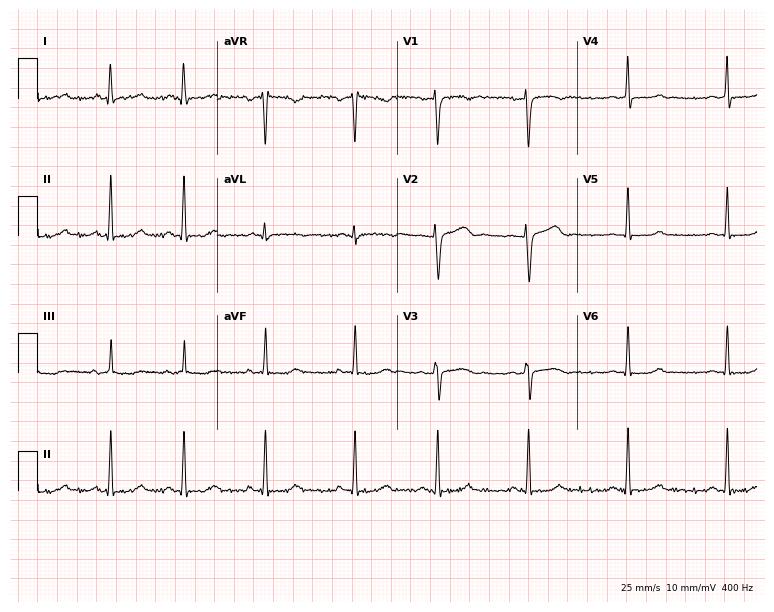
12-lead ECG from a female patient, 35 years old. Recorded interpretation: within normal limits.